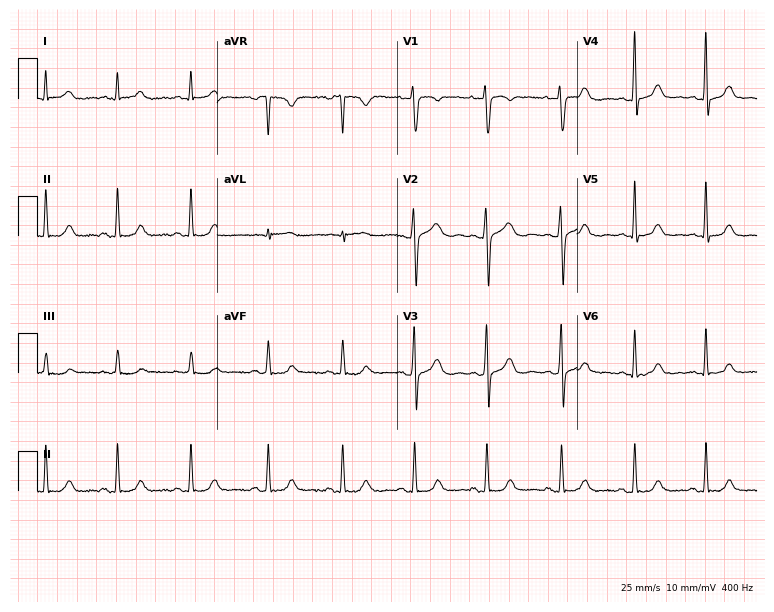
Standard 12-lead ECG recorded from a 26-year-old female patient. None of these six findings is recorded: first-degree AV block, right bundle branch block, left bundle branch block, sinus bradycardia, atrial fibrillation, sinus tachycardia.